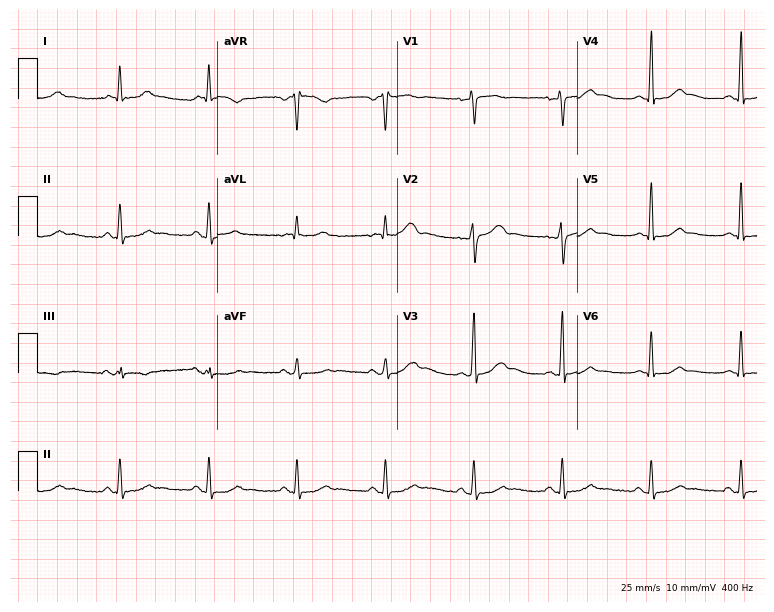
Electrocardiogram, a 55-year-old man. Of the six screened findings (first-degree AV block, right bundle branch block (RBBB), left bundle branch block (LBBB), sinus bradycardia, atrial fibrillation (AF), sinus tachycardia), none is recorded. Only these six findings were labelled.